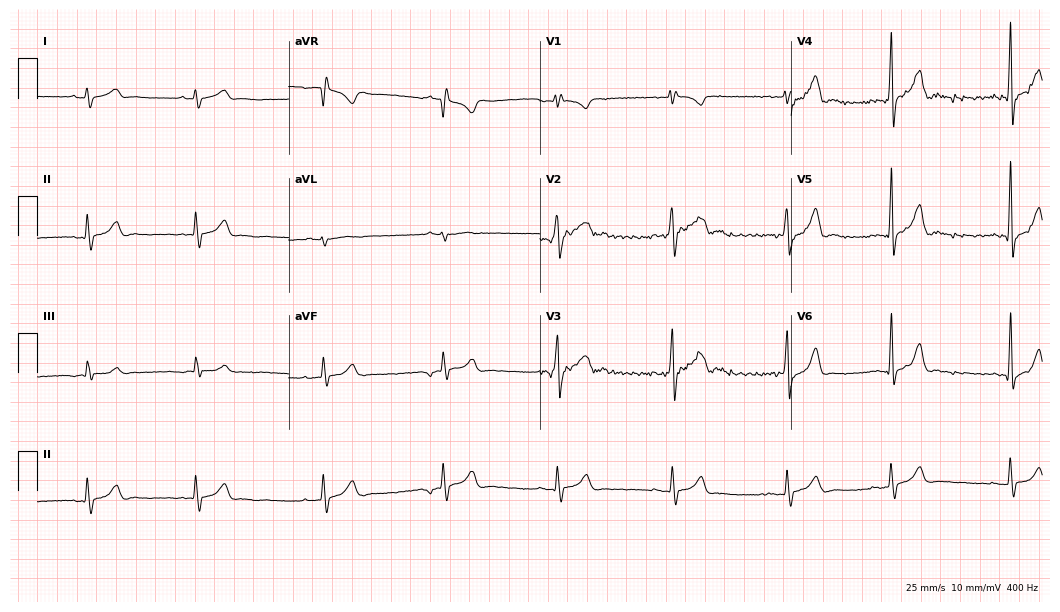
Electrocardiogram, a man, 17 years old. Overall reading on record: normal ECG.